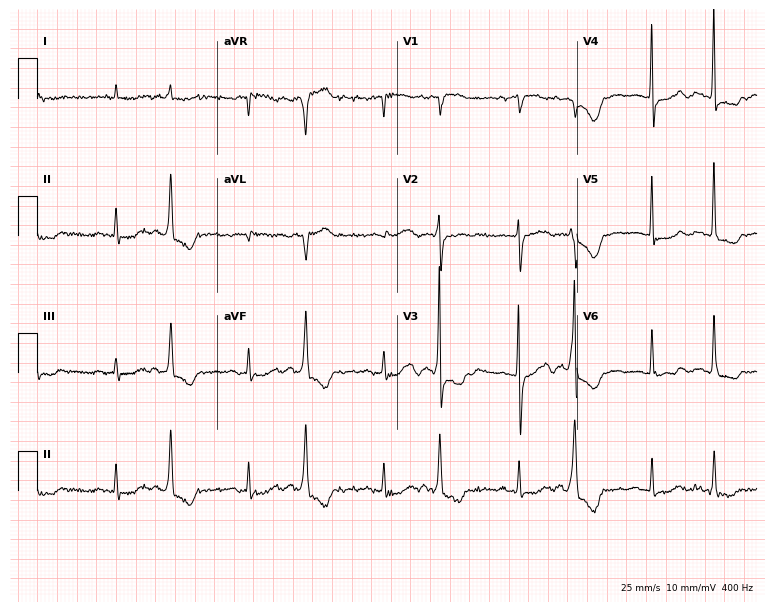
Electrocardiogram, a woman, 85 years old. Of the six screened findings (first-degree AV block, right bundle branch block (RBBB), left bundle branch block (LBBB), sinus bradycardia, atrial fibrillation (AF), sinus tachycardia), none is recorded.